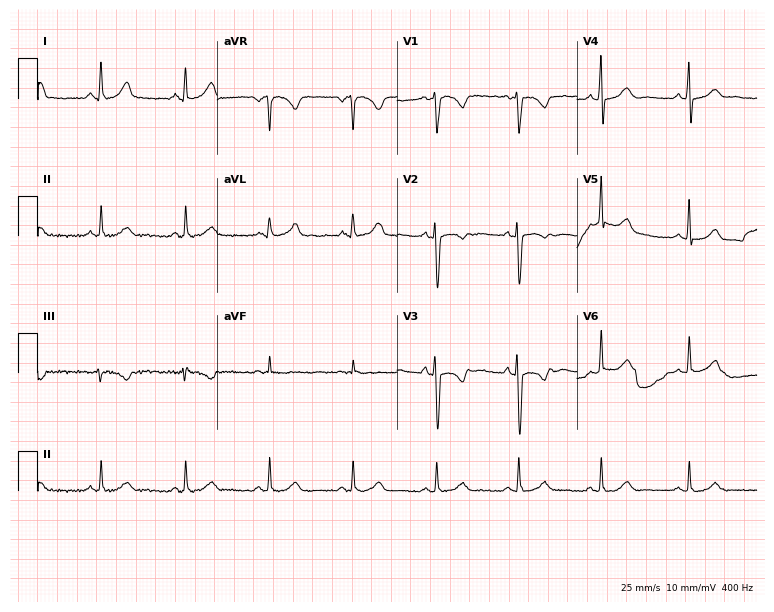
Resting 12-lead electrocardiogram. Patient: a female, 30 years old. None of these six findings is recorded: first-degree AV block, right bundle branch block (RBBB), left bundle branch block (LBBB), sinus bradycardia, atrial fibrillation (AF), sinus tachycardia. Other findings, if any, are not listed.